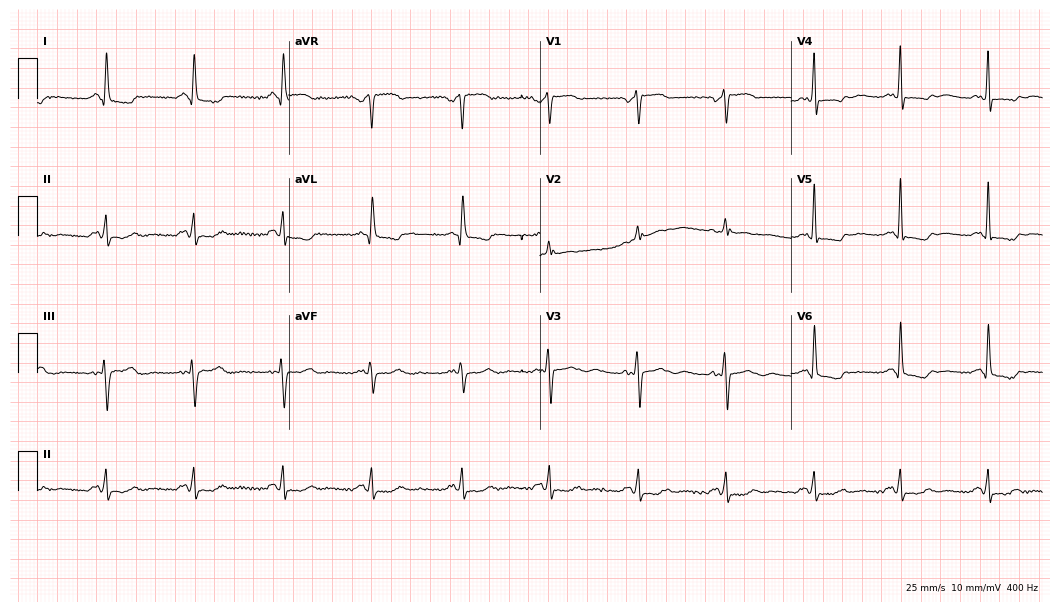
Electrocardiogram, a 58-year-old woman. Of the six screened findings (first-degree AV block, right bundle branch block (RBBB), left bundle branch block (LBBB), sinus bradycardia, atrial fibrillation (AF), sinus tachycardia), none is recorded.